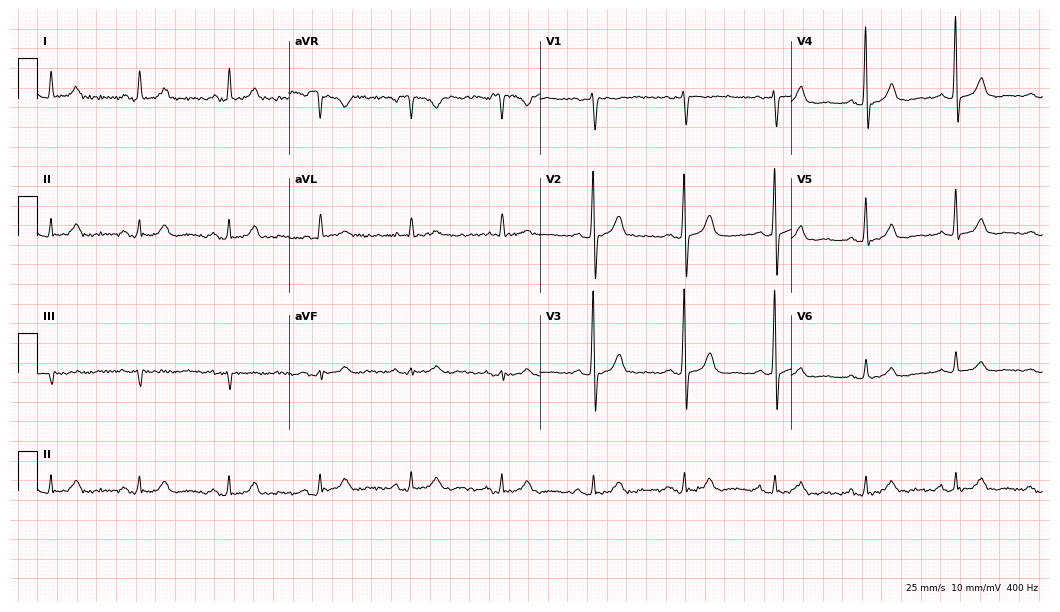
Resting 12-lead electrocardiogram. Patient: a male, 69 years old. Read as a normal ECG.